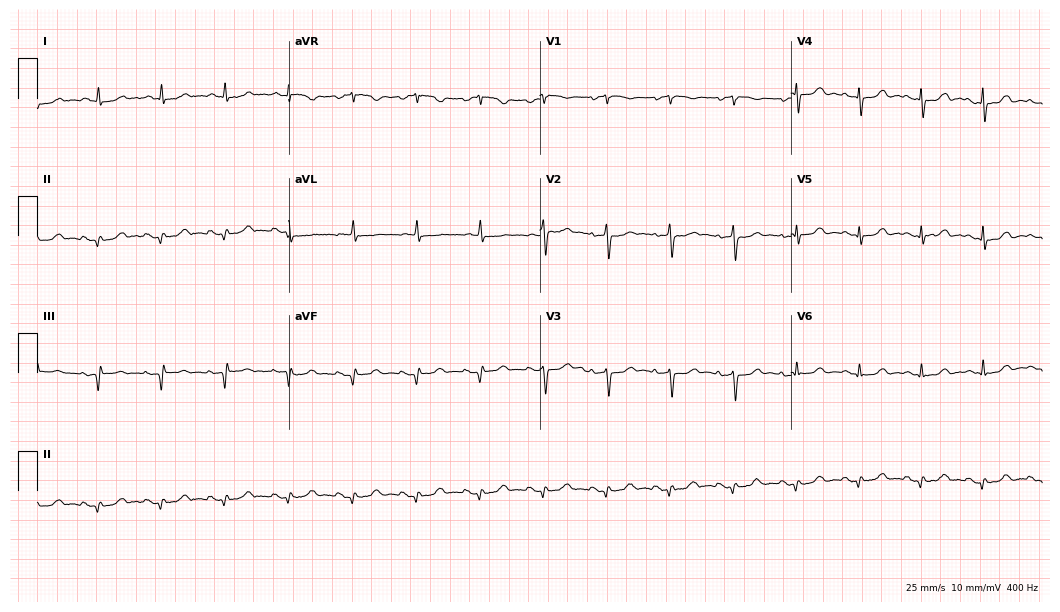
ECG (10.2-second recording at 400 Hz) — a 77-year-old female. Screened for six findings — first-degree AV block, right bundle branch block, left bundle branch block, sinus bradycardia, atrial fibrillation, sinus tachycardia — none is recorded.